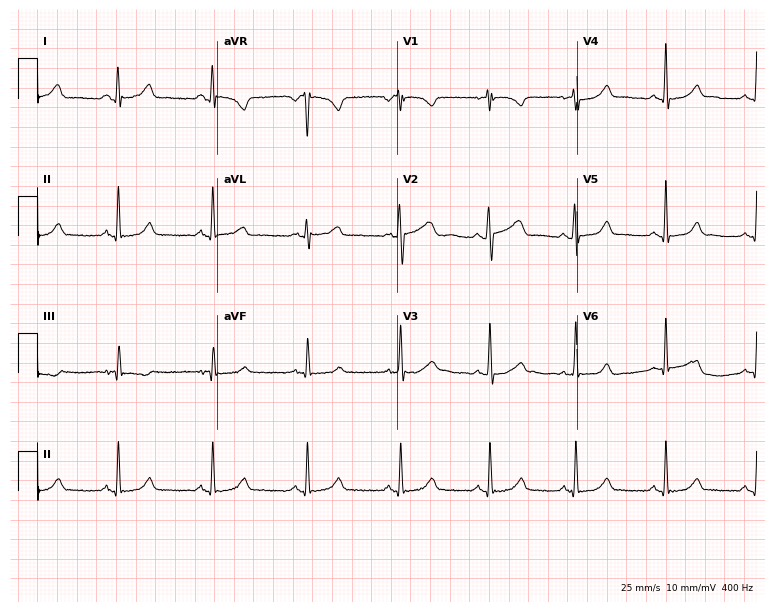
Standard 12-lead ECG recorded from a female, 29 years old (7.3-second recording at 400 Hz). Read as a normal ECG.